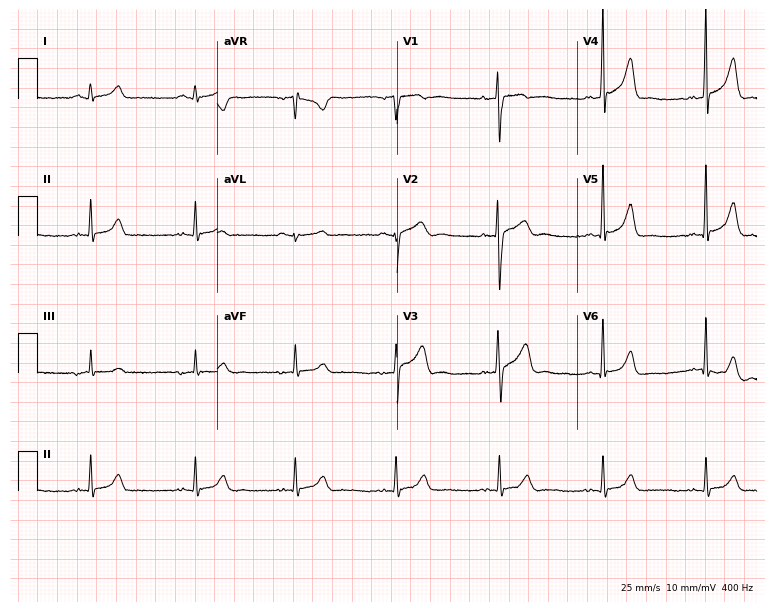
Standard 12-lead ECG recorded from a 25-year-old man. None of these six findings is recorded: first-degree AV block, right bundle branch block (RBBB), left bundle branch block (LBBB), sinus bradycardia, atrial fibrillation (AF), sinus tachycardia.